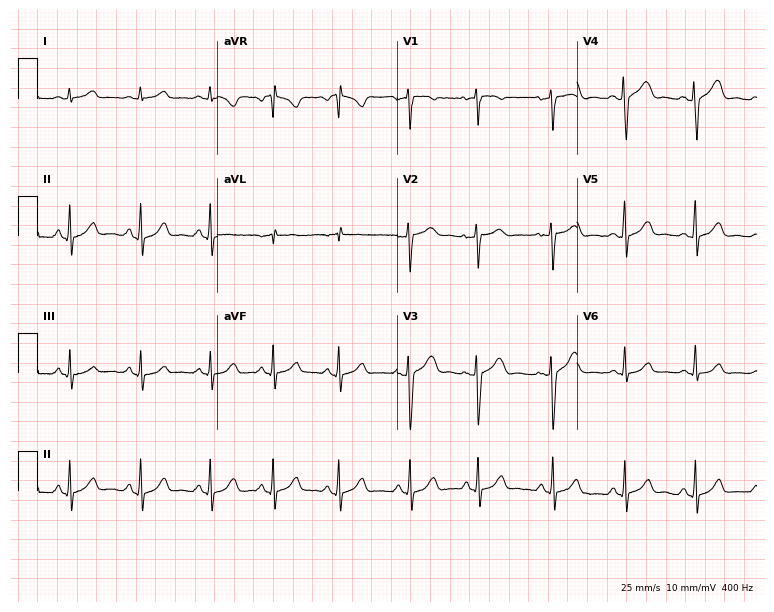
Electrocardiogram (7.3-second recording at 400 Hz), a female, 39 years old. Of the six screened findings (first-degree AV block, right bundle branch block (RBBB), left bundle branch block (LBBB), sinus bradycardia, atrial fibrillation (AF), sinus tachycardia), none is recorded. Findings outside these six are not listed.